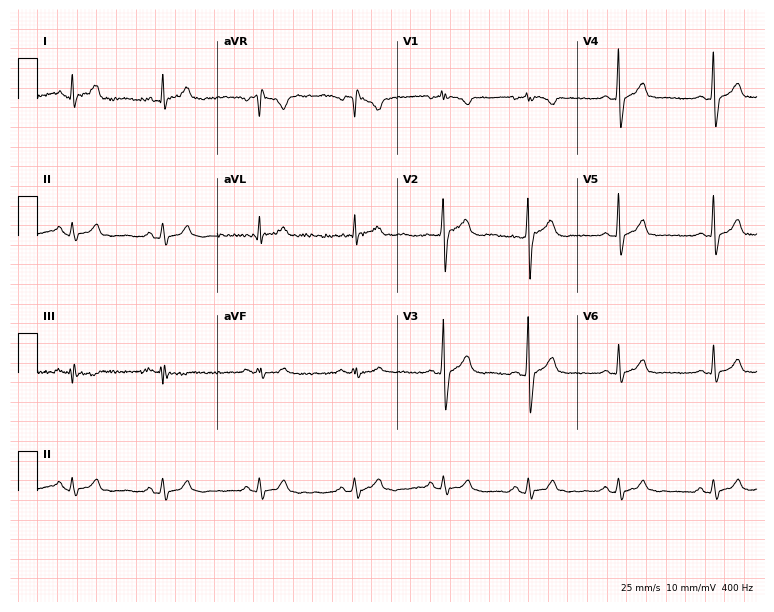
Resting 12-lead electrocardiogram (7.3-second recording at 400 Hz). Patient: a male, 38 years old. Read as a normal ECG.